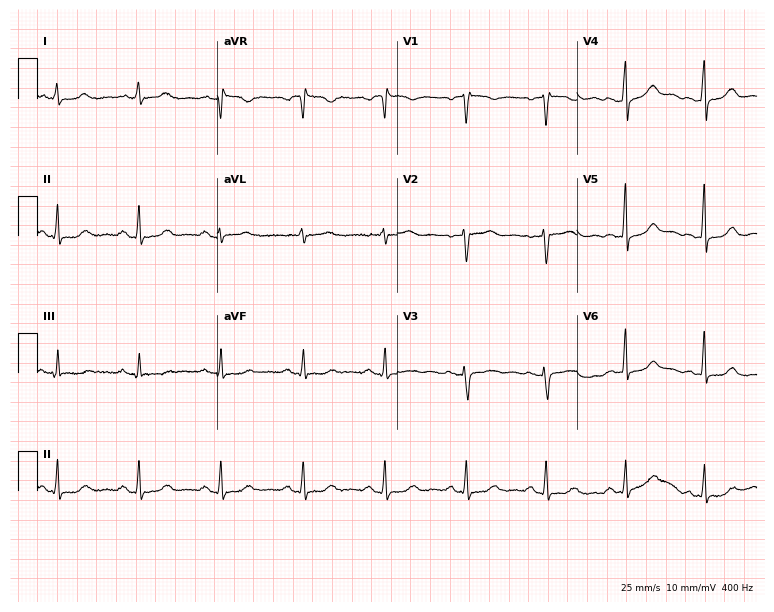
Resting 12-lead electrocardiogram. Patient: a 49-year-old woman. Read as a normal ECG.